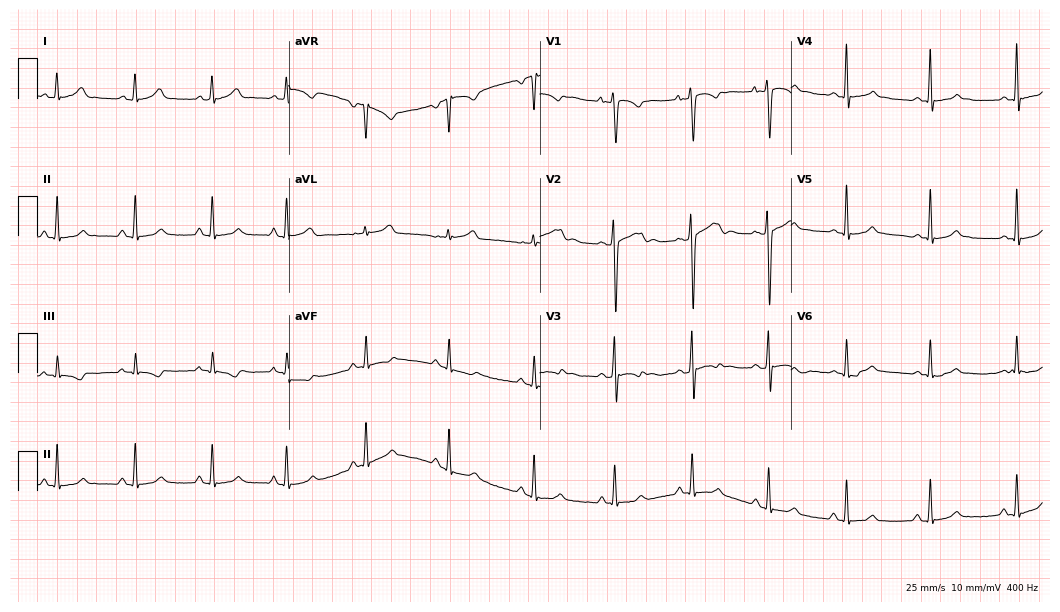
ECG (10.2-second recording at 400 Hz) — a 17-year-old man. Labelled as a normal ECG.